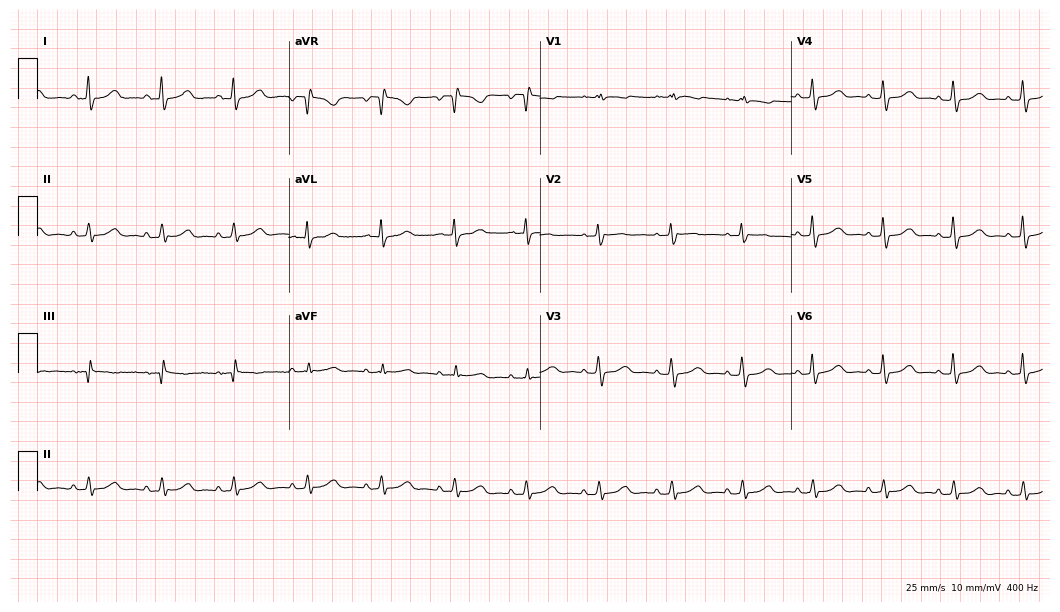
ECG — a 57-year-old female. Labelled as a normal ECG.